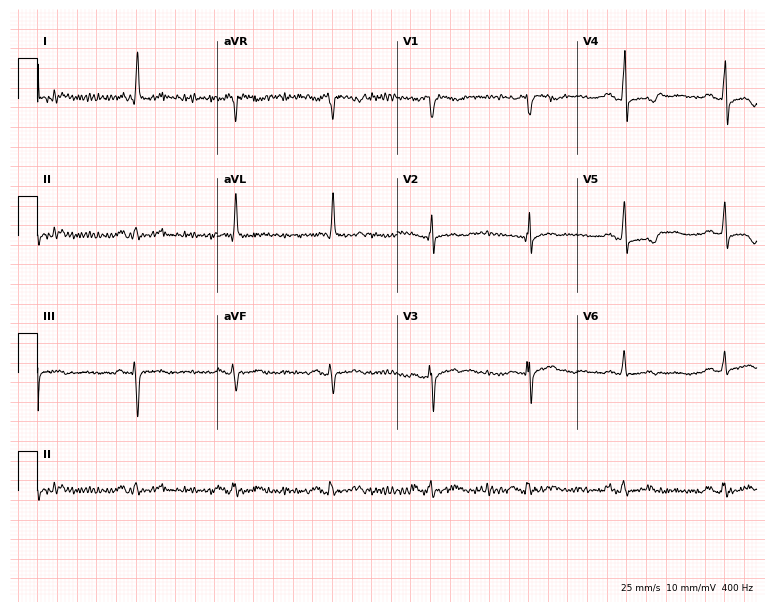
ECG — a male patient, 76 years old. Screened for six findings — first-degree AV block, right bundle branch block (RBBB), left bundle branch block (LBBB), sinus bradycardia, atrial fibrillation (AF), sinus tachycardia — none is recorded.